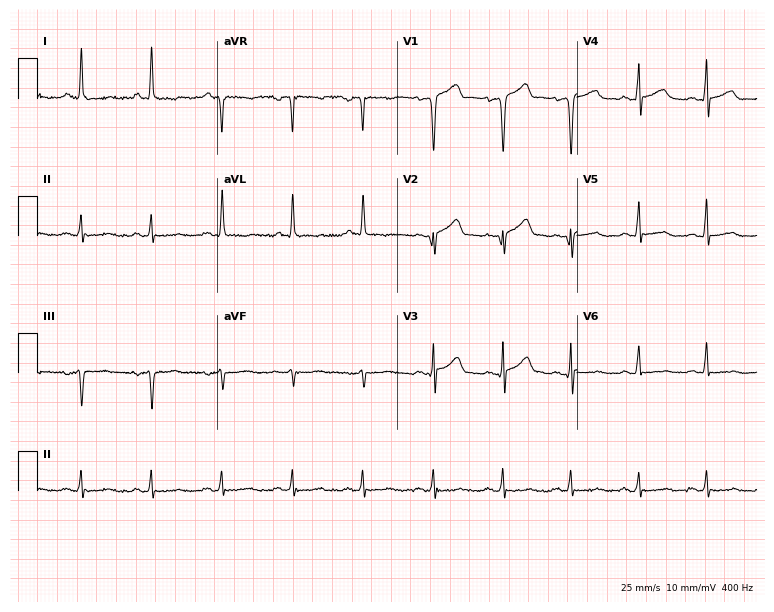
Electrocardiogram, a man, 56 years old. Of the six screened findings (first-degree AV block, right bundle branch block, left bundle branch block, sinus bradycardia, atrial fibrillation, sinus tachycardia), none is recorded. Other findings, if any, are not listed.